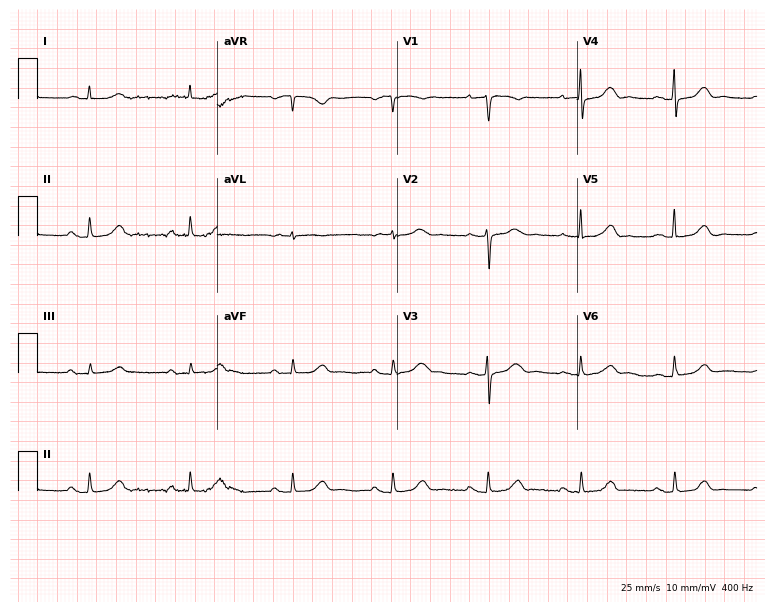
12-lead ECG (7.3-second recording at 400 Hz) from a female, 77 years old. Screened for six findings — first-degree AV block, right bundle branch block, left bundle branch block, sinus bradycardia, atrial fibrillation, sinus tachycardia — none is recorded.